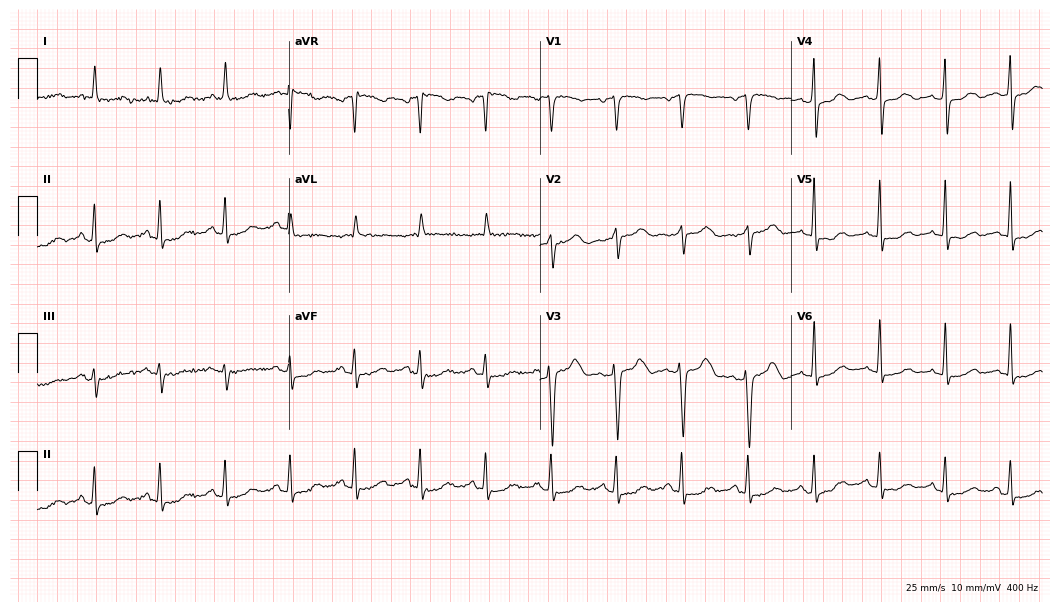
12-lead ECG from a 79-year-old woman. Labelled as a normal ECG.